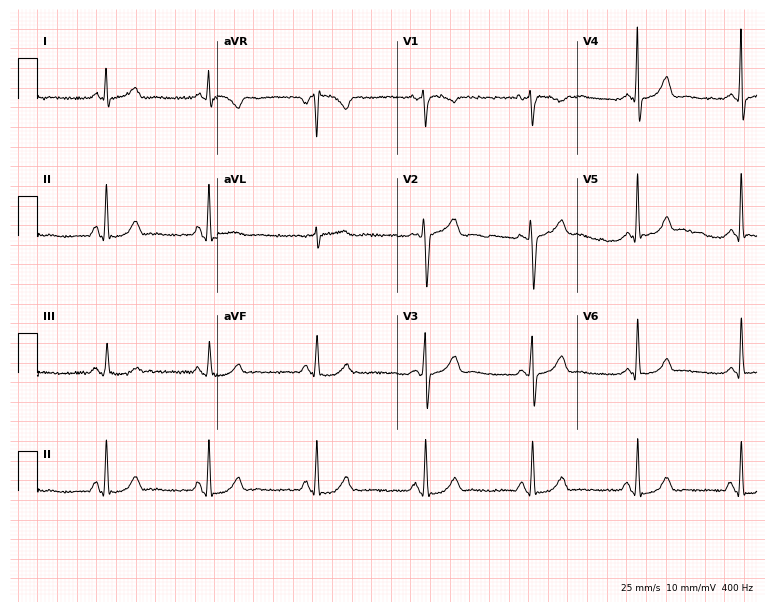
Standard 12-lead ECG recorded from a 40-year-old female patient (7.3-second recording at 400 Hz). None of these six findings is recorded: first-degree AV block, right bundle branch block, left bundle branch block, sinus bradycardia, atrial fibrillation, sinus tachycardia.